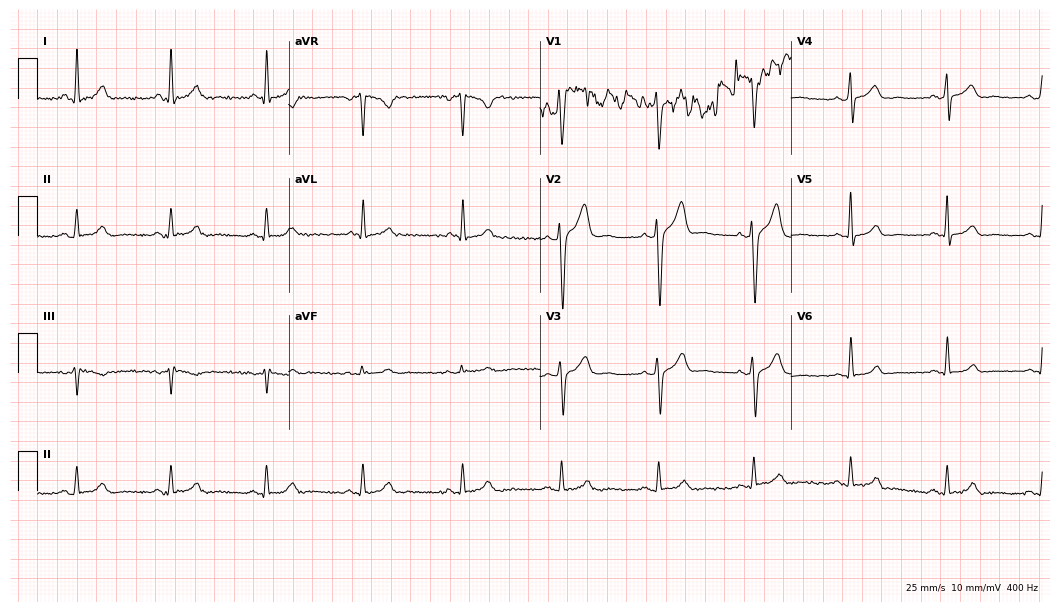
12-lead ECG from a man, 51 years old. Recorded interpretation: within normal limits.